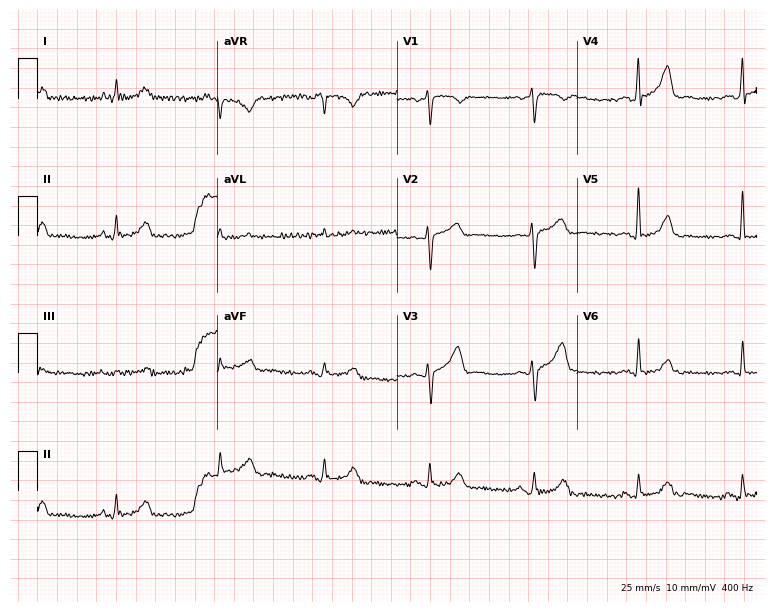
12-lead ECG from a male patient, 54 years old. Screened for six findings — first-degree AV block, right bundle branch block, left bundle branch block, sinus bradycardia, atrial fibrillation, sinus tachycardia — none is recorded. Only these six findings were labelled.